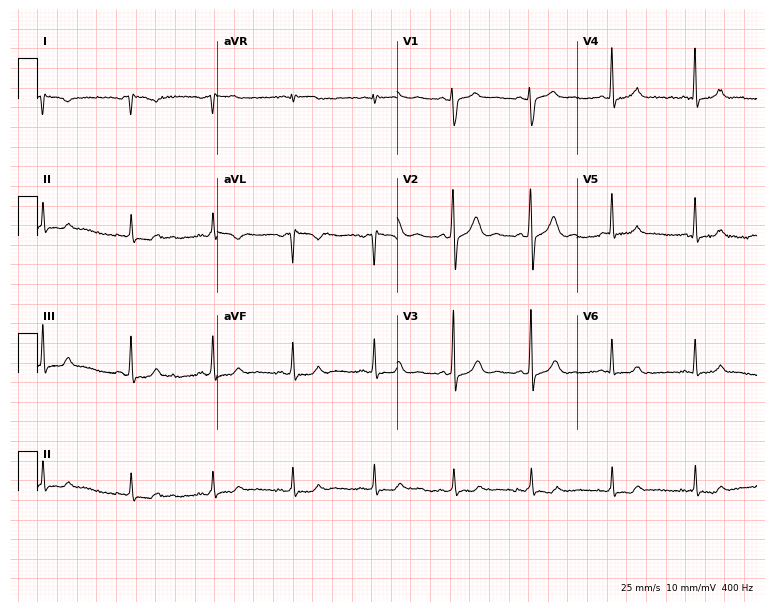
12-lead ECG from a 35-year-old woman. No first-degree AV block, right bundle branch block (RBBB), left bundle branch block (LBBB), sinus bradycardia, atrial fibrillation (AF) or sinus tachycardia recorded for this tracing. Other findings, if any, are not listed.